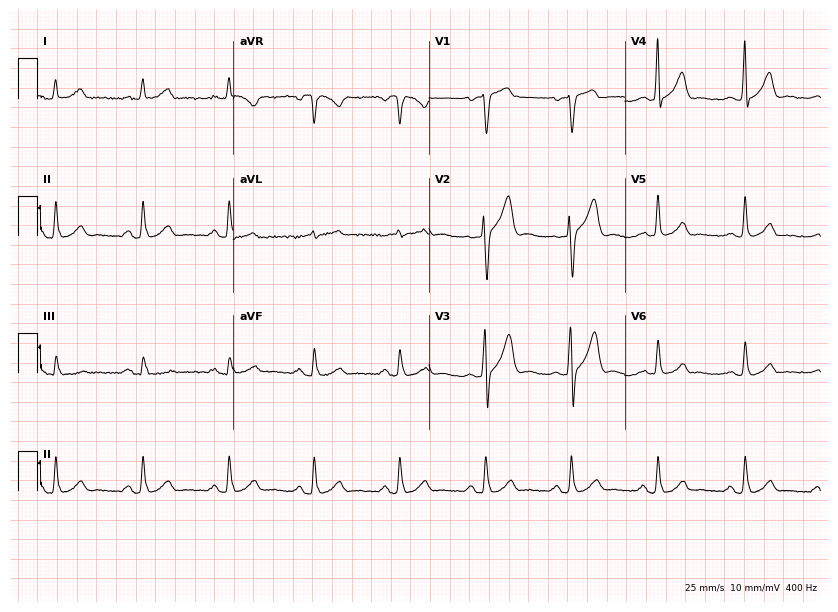
ECG (8-second recording at 400 Hz) — a 53-year-old man. Screened for six findings — first-degree AV block, right bundle branch block (RBBB), left bundle branch block (LBBB), sinus bradycardia, atrial fibrillation (AF), sinus tachycardia — none is recorded. Findings outside these six are not listed.